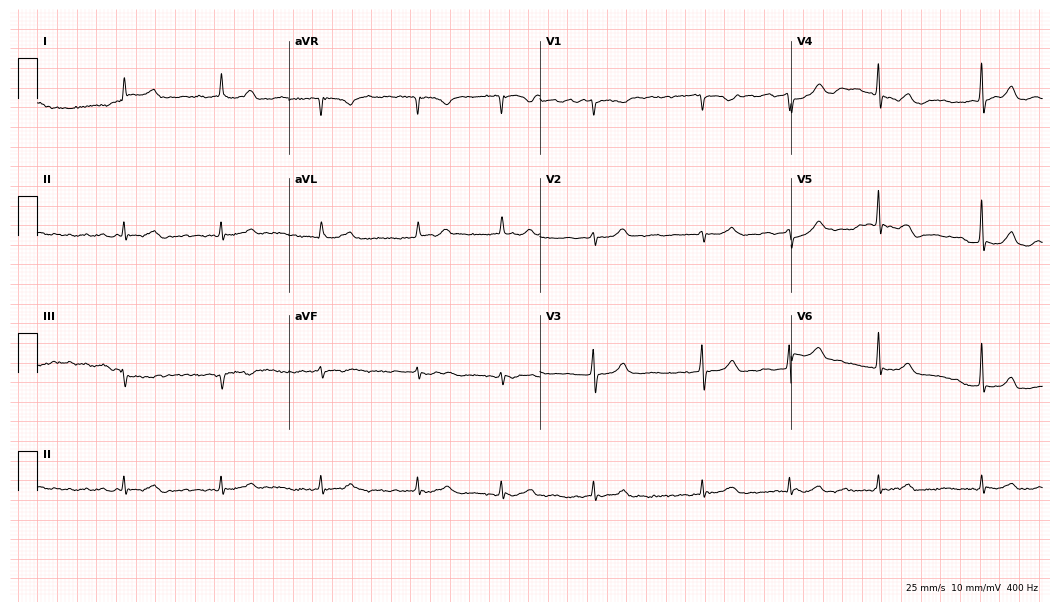
ECG (10.2-second recording at 400 Hz) — a 73-year-old woman. Findings include atrial fibrillation.